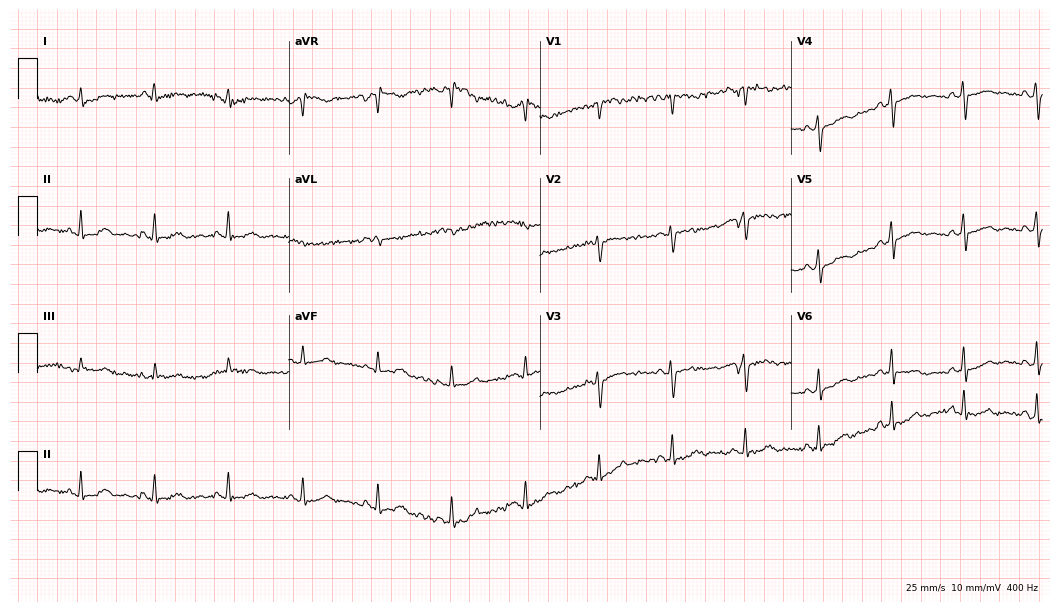
Electrocardiogram (10.2-second recording at 400 Hz), a female patient, 63 years old. Of the six screened findings (first-degree AV block, right bundle branch block, left bundle branch block, sinus bradycardia, atrial fibrillation, sinus tachycardia), none is recorded. Other findings, if any, are not listed.